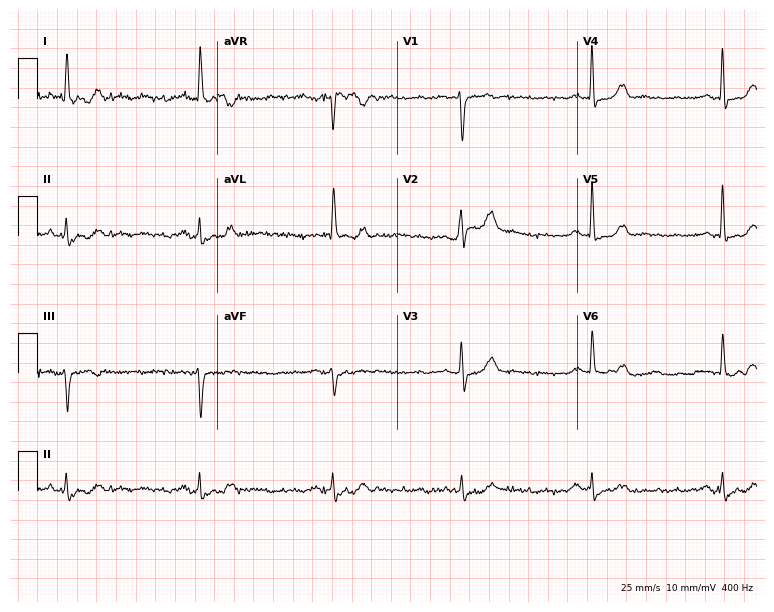
Electrocardiogram (7.3-second recording at 400 Hz), a 74-year-old male patient. Of the six screened findings (first-degree AV block, right bundle branch block (RBBB), left bundle branch block (LBBB), sinus bradycardia, atrial fibrillation (AF), sinus tachycardia), none is recorded.